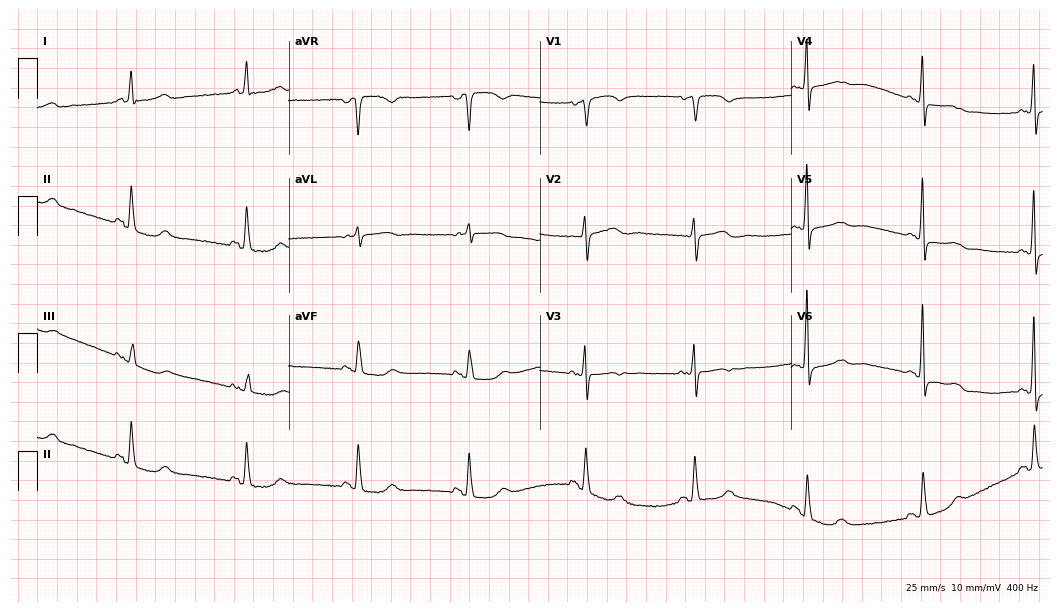
Electrocardiogram, a female patient, 71 years old. Overall reading on record: normal ECG.